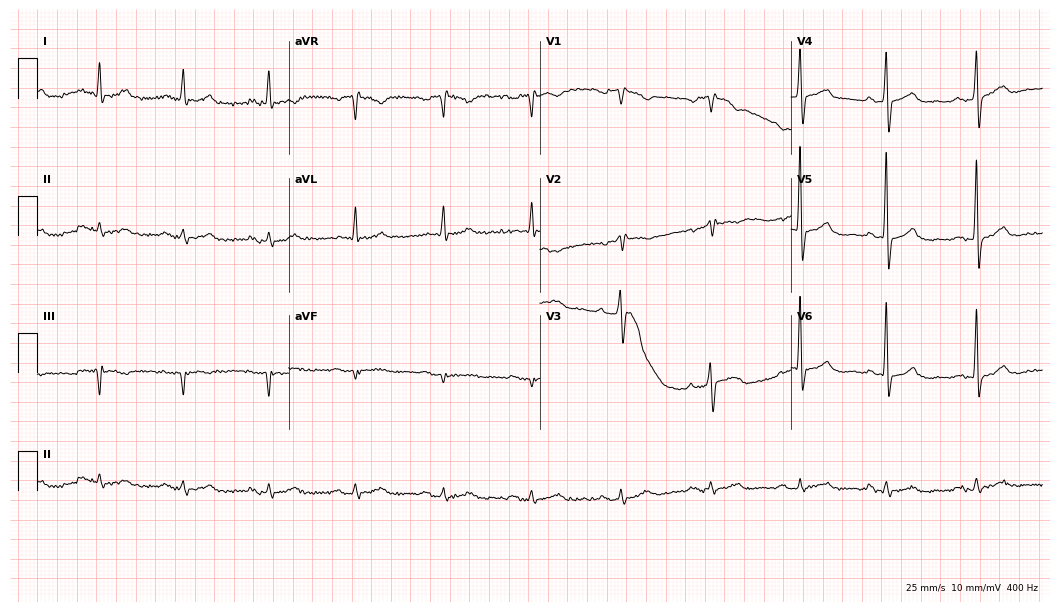
12-lead ECG from a male patient, 67 years old. Screened for six findings — first-degree AV block, right bundle branch block, left bundle branch block, sinus bradycardia, atrial fibrillation, sinus tachycardia — none is recorded. Only these six findings were labelled.